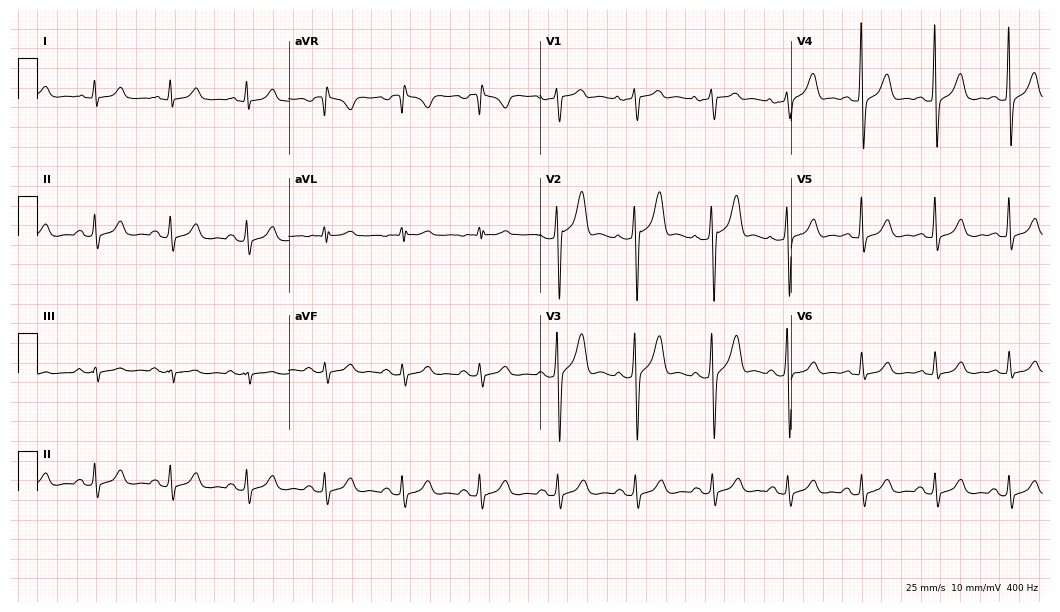
Standard 12-lead ECG recorded from a 51-year-old male (10.2-second recording at 400 Hz). Read as a normal ECG.